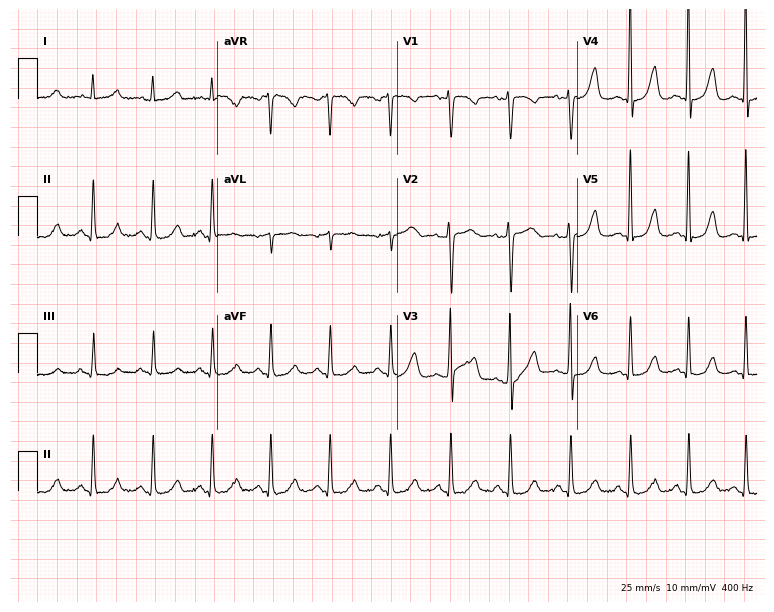
12-lead ECG from a woman, 37 years old. Labelled as a normal ECG.